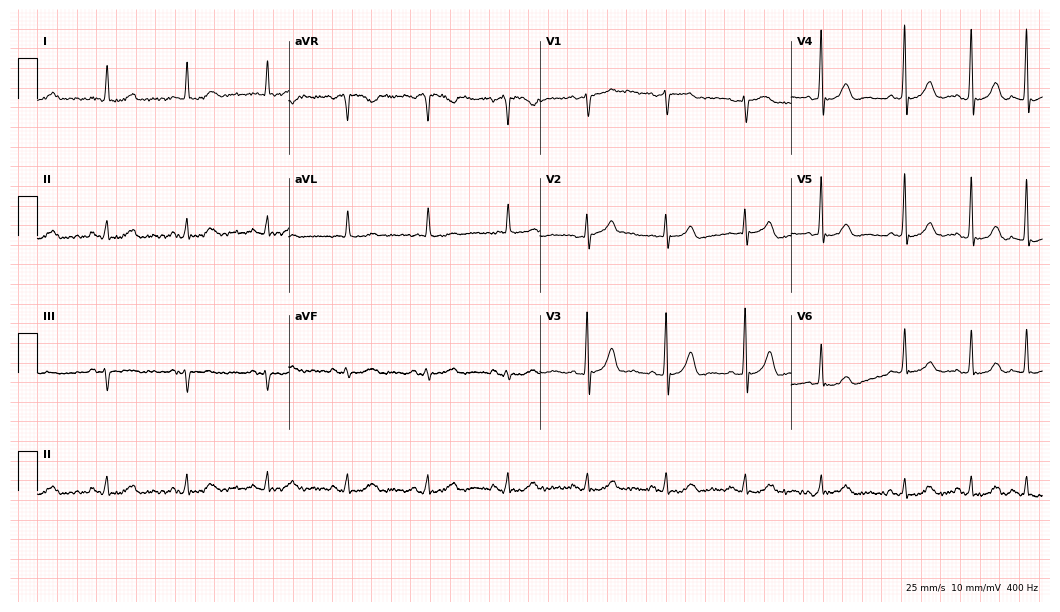
12-lead ECG from a male patient, 72 years old. Recorded interpretation: within normal limits.